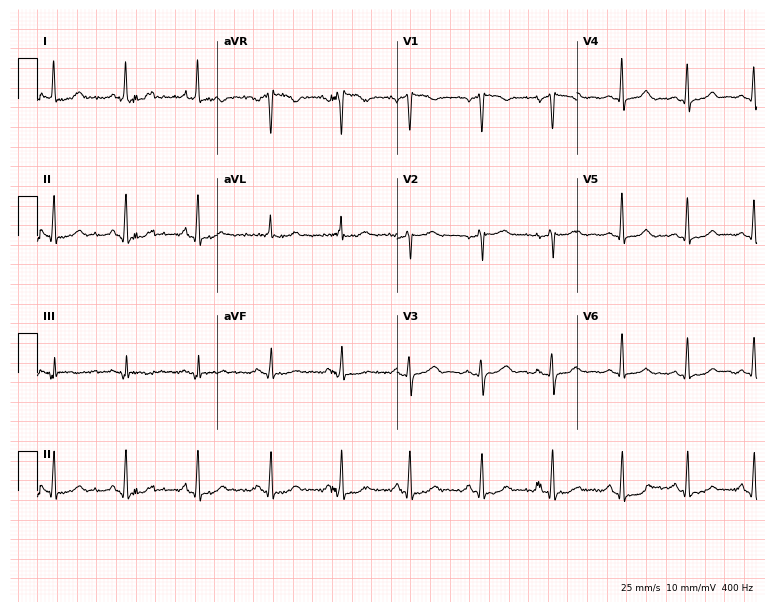
ECG (7.3-second recording at 400 Hz) — a 39-year-old female patient. Labelled as a normal ECG.